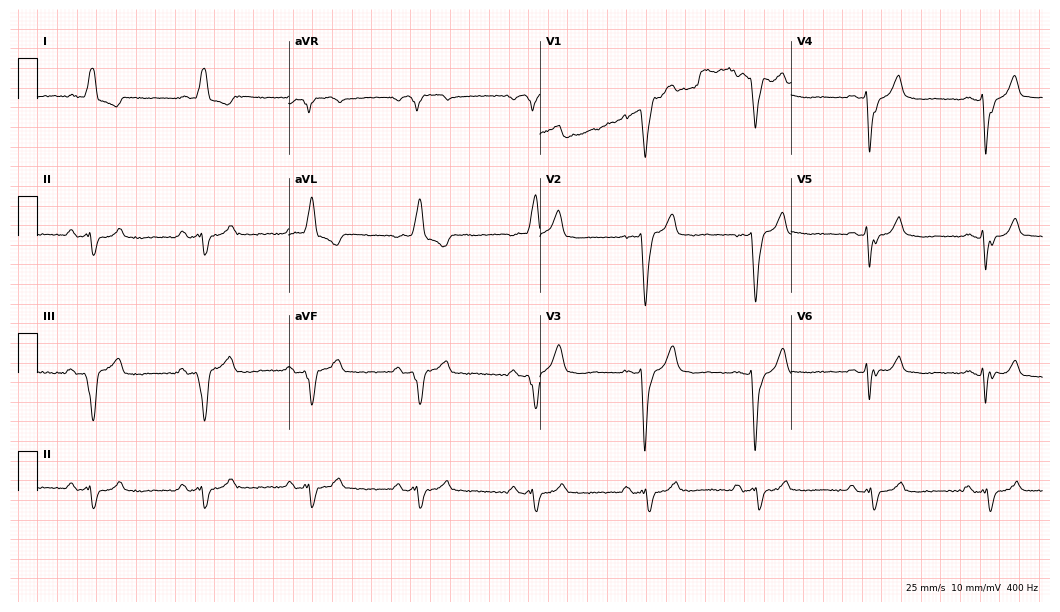
Resting 12-lead electrocardiogram (10.2-second recording at 400 Hz). Patient: a 71-year-old male. The tracing shows left bundle branch block.